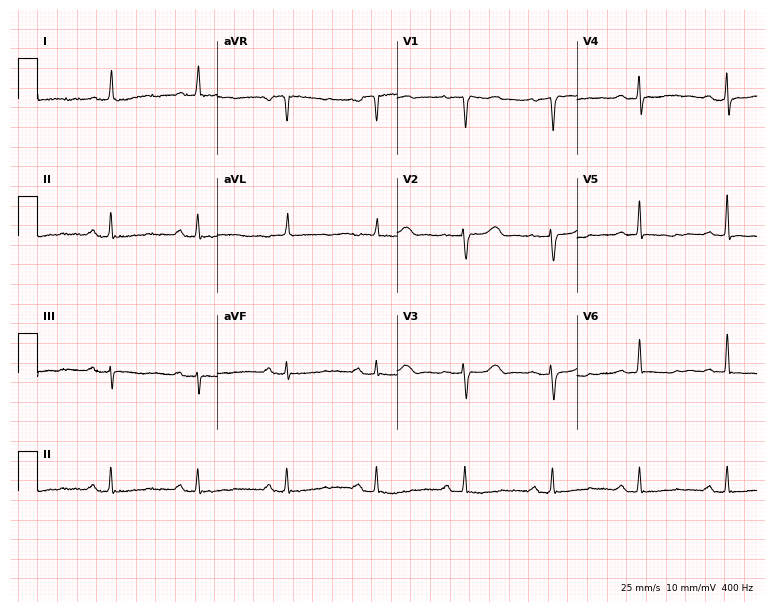
Electrocardiogram (7.3-second recording at 400 Hz), a 76-year-old female patient. Of the six screened findings (first-degree AV block, right bundle branch block, left bundle branch block, sinus bradycardia, atrial fibrillation, sinus tachycardia), none is recorded.